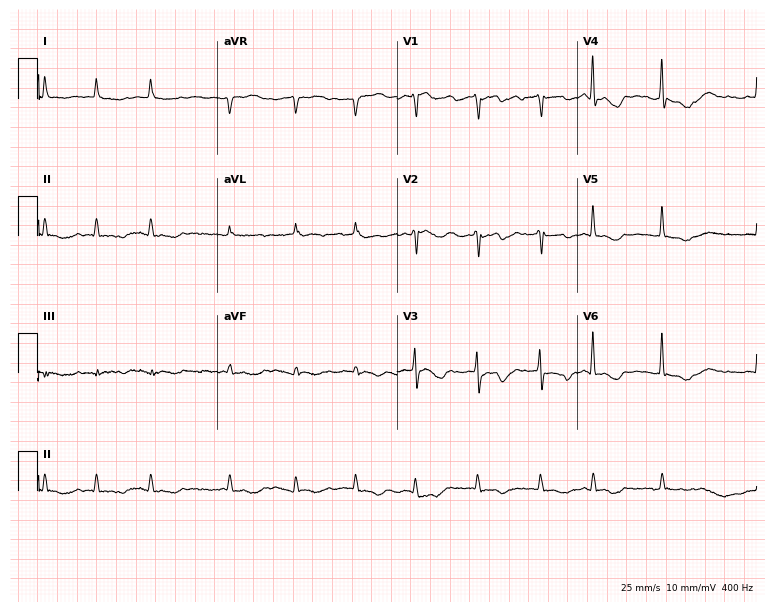
ECG — a 79-year-old female patient. Findings include atrial fibrillation (AF).